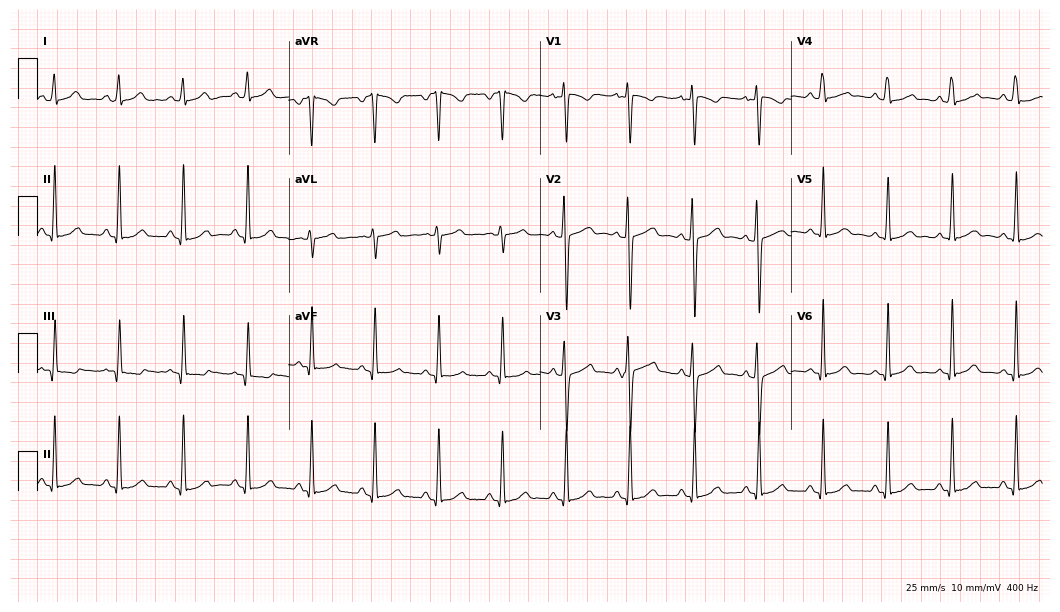
Electrocardiogram, a female, 19 years old. Overall reading on record: normal ECG.